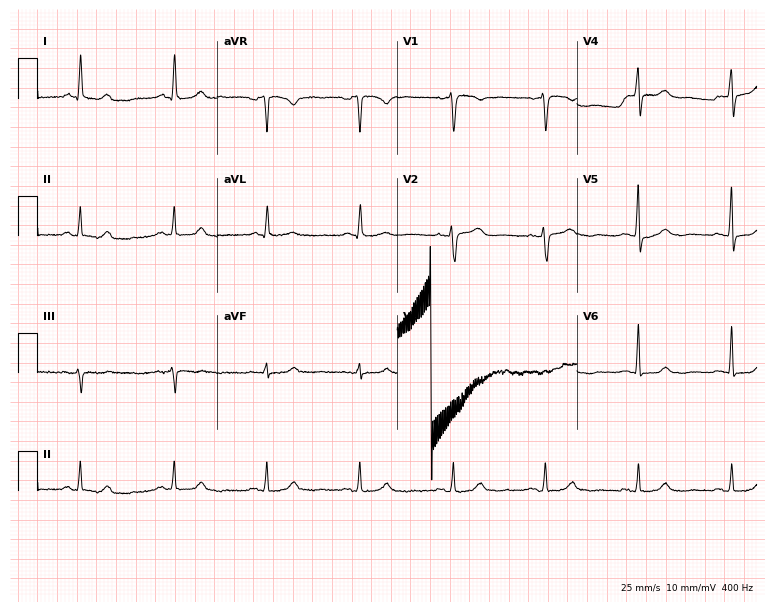
12-lead ECG from a 79-year-old female patient (7.3-second recording at 400 Hz). Recorded interpretation: within normal limits.